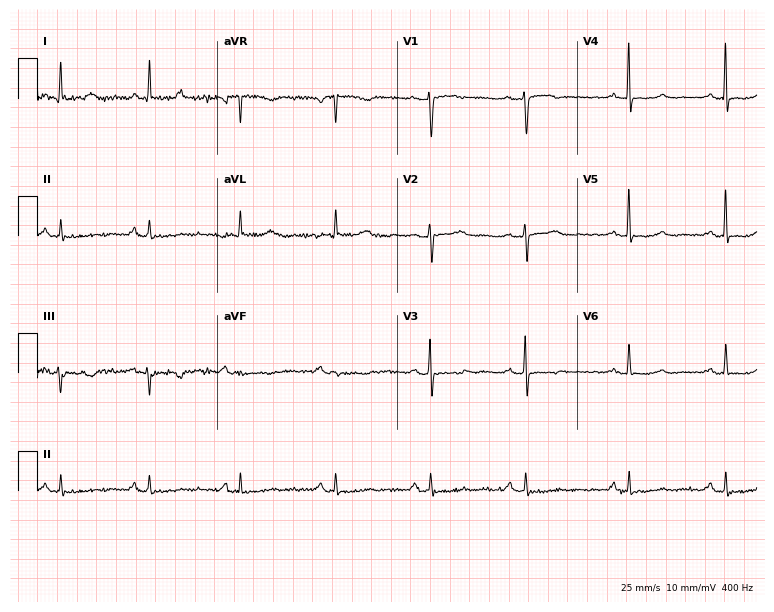
12-lead ECG from a female patient, 70 years old. Labelled as a normal ECG.